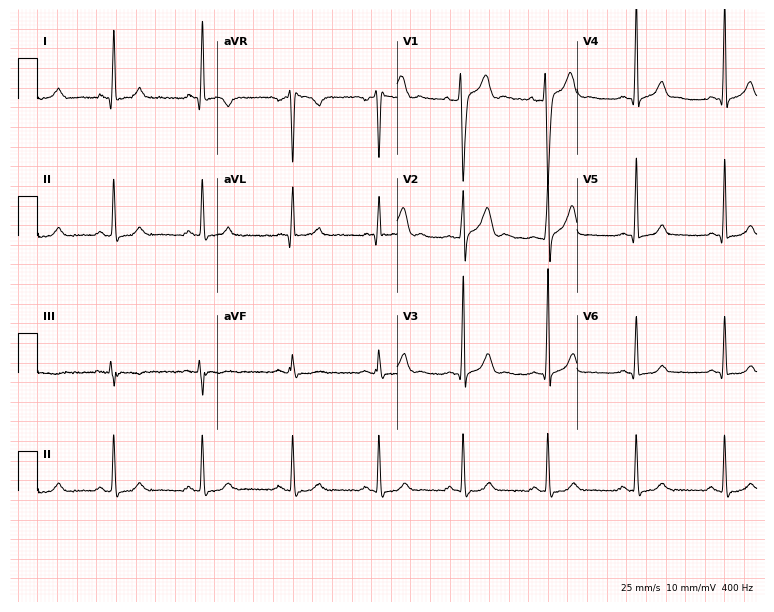
ECG — a 27-year-old male. Labelled as a normal ECG.